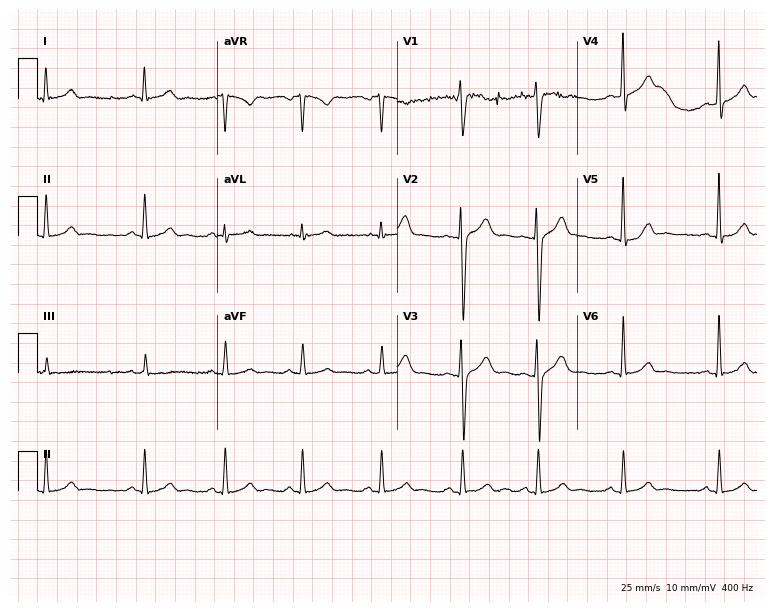
Electrocardiogram (7.3-second recording at 400 Hz), a male, 26 years old. Overall reading on record: normal ECG.